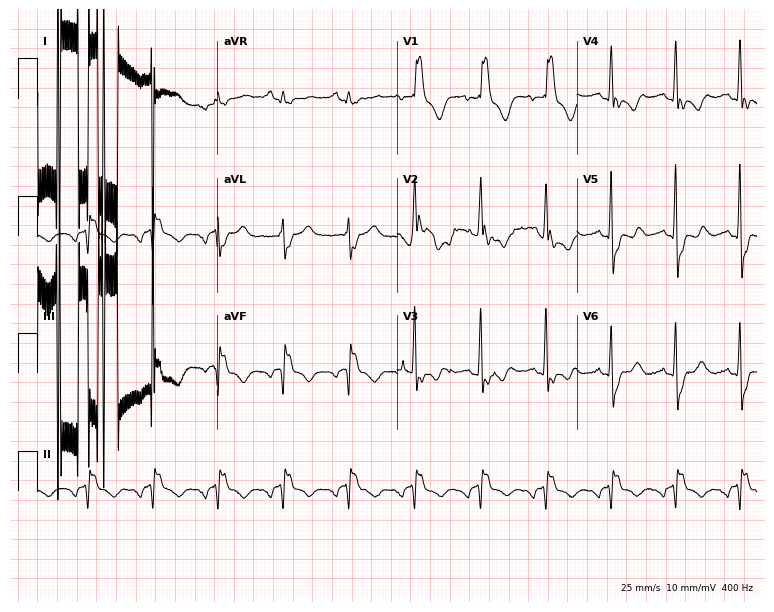
Electrocardiogram, a female patient, 53 years old. Of the six screened findings (first-degree AV block, right bundle branch block, left bundle branch block, sinus bradycardia, atrial fibrillation, sinus tachycardia), none is recorded. Only these six findings were labelled.